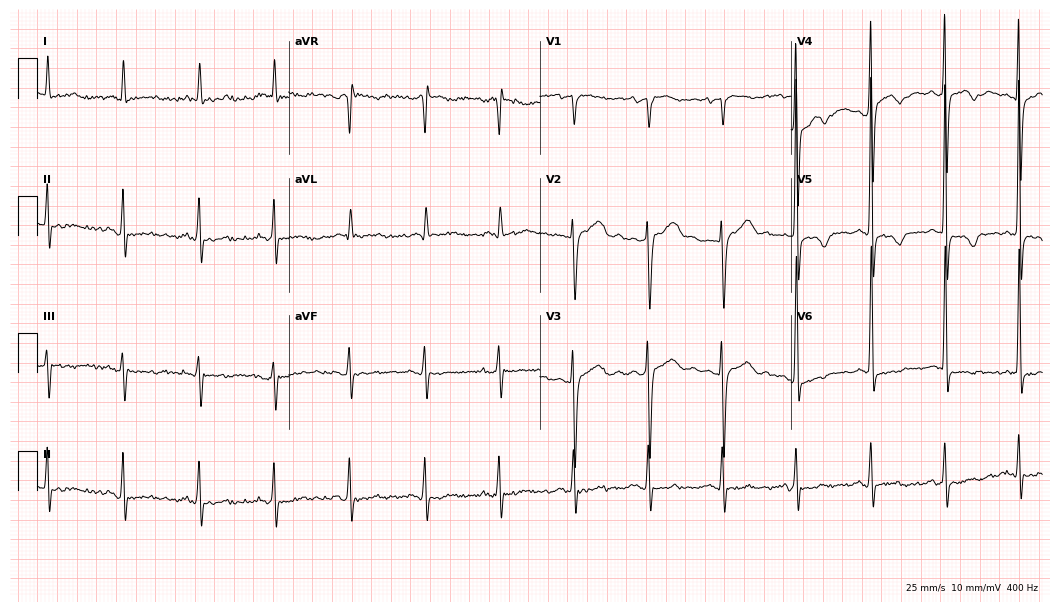
12-lead ECG from a female patient, 70 years old. Screened for six findings — first-degree AV block, right bundle branch block, left bundle branch block, sinus bradycardia, atrial fibrillation, sinus tachycardia — none is recorded. Only these six findings were labelled.